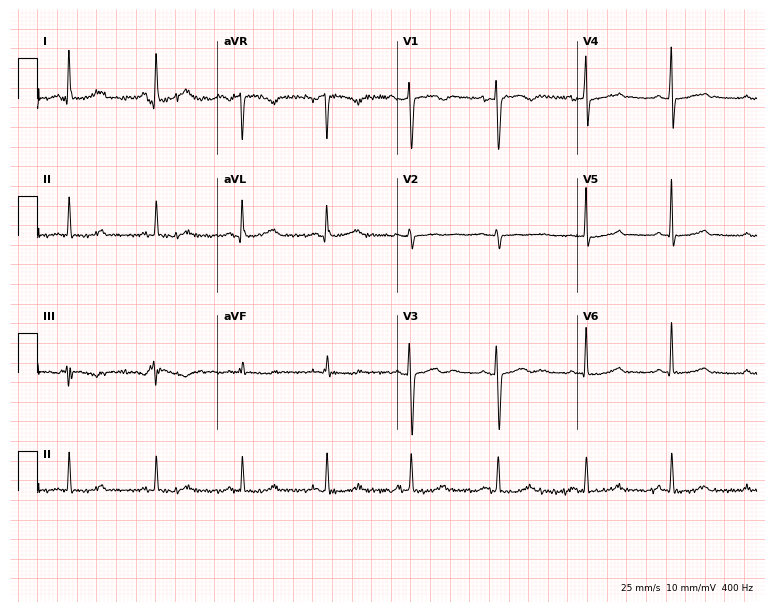
Standard 12-lead ECG recorded from a 29-year-old female. Read as a normal ECG.